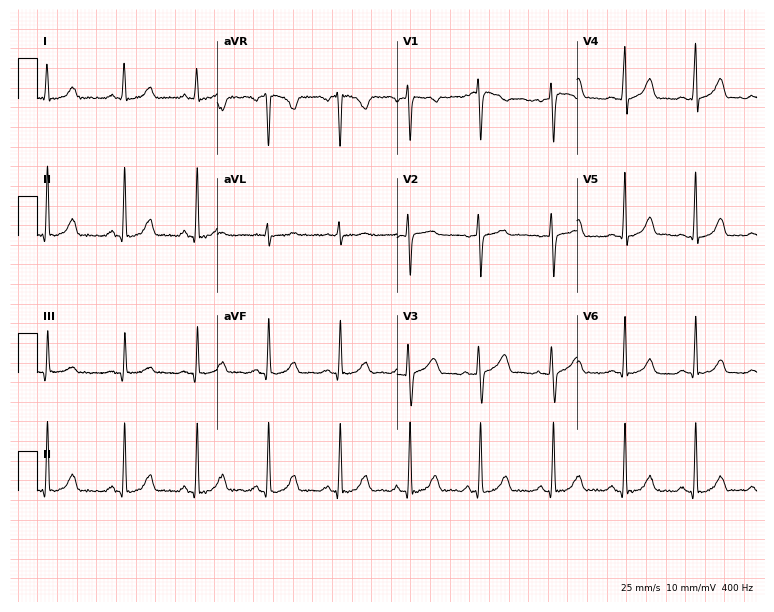
Resting 12-lead electrocardiogram. Patient: a 32-year-old female. Read as a normal ECG.